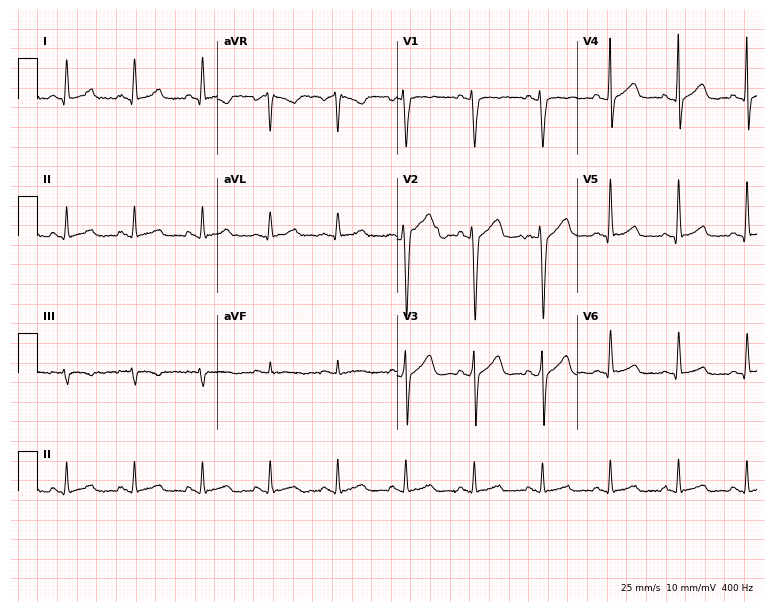
12-lead ECG from a man, 45 years old. No first-degree AV block, right bundle branch block (RBBB), left bundle branch block (LBBB), sinus bradycardia, atrial fibrillation (AF) or sinus tachycardia recorded for this tracing.